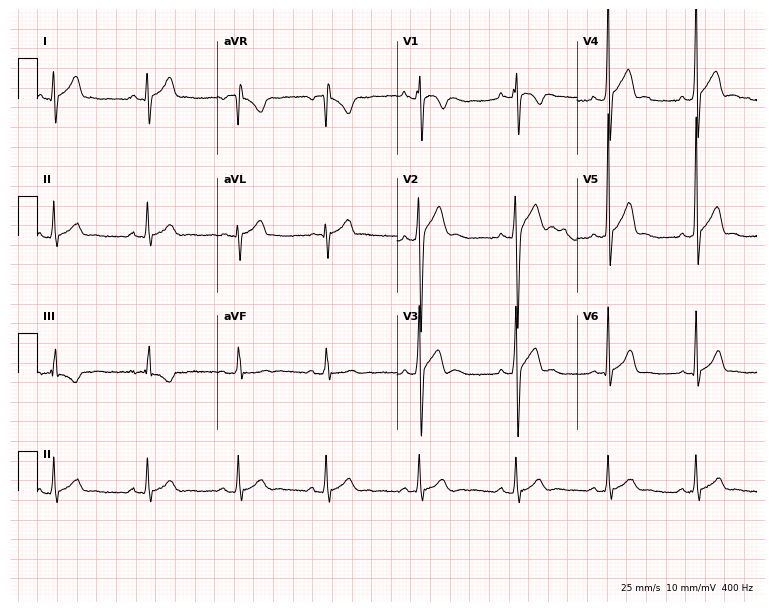
Standard 12-lead ECG recorded from a 19-year-old man (7.3-second recording at 400 Hz). None of these six findings is recorded: first-degree AV block, right bundle branch block, left bundle branch block, sinus bradycardia, atrial fibrillation, sinus tachycardia. Only these six findings were labelled.